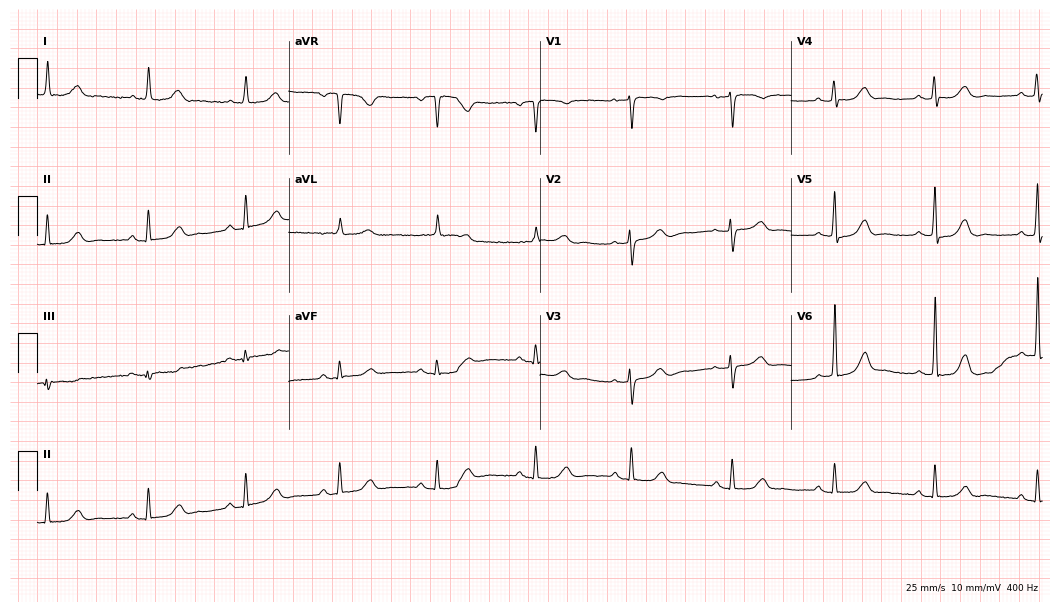
12-lead ECG from an 85-year-old female (10.2-second recording at 400 Hz). Recorded interpretation: within normal limits.